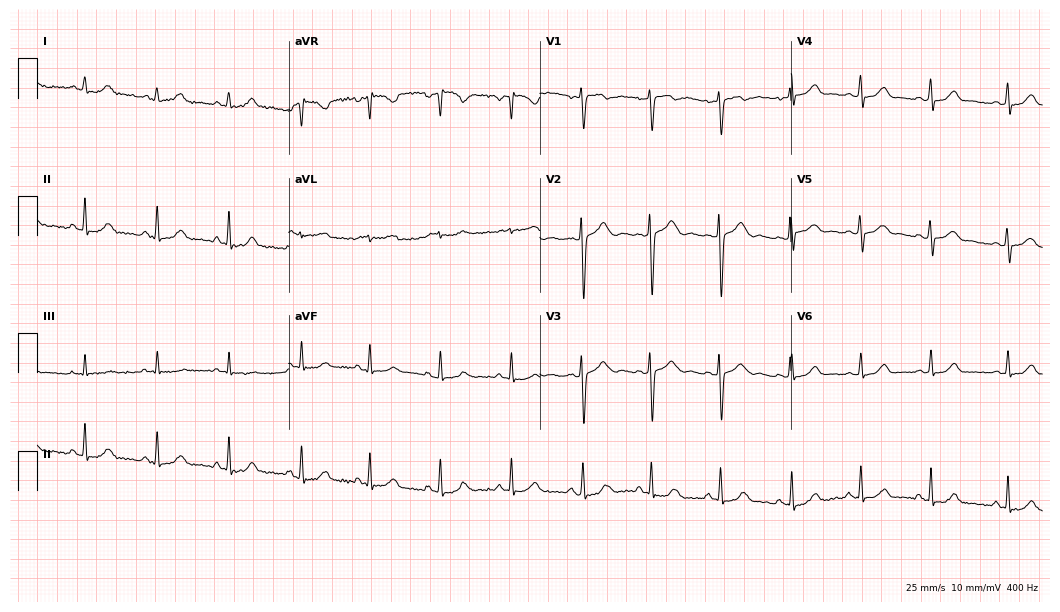
Resting 12-lead electrocardiogram. Patient: a 27-year-old woman. Read as a normal ECG.